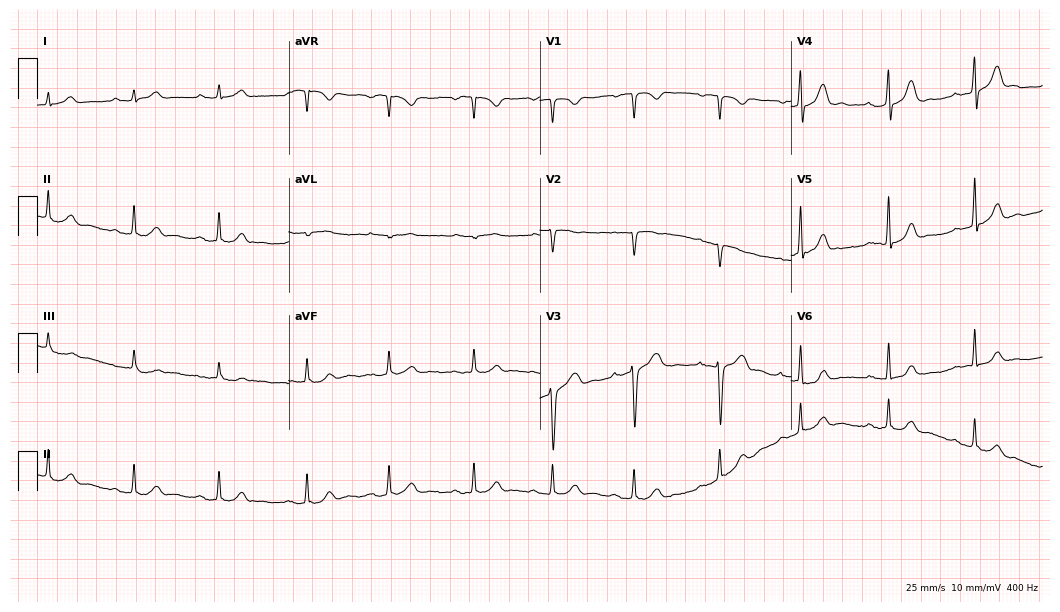
Standard 12-lead ECG recorded from a 46-year-old female patient. None of these six findings is recorded: first-degree AV block, right bundle branch block (RBBB), left bundle branch block (LBBB), sinus bradycardia, atrial fibrillation (AF), sinus tachycardia.